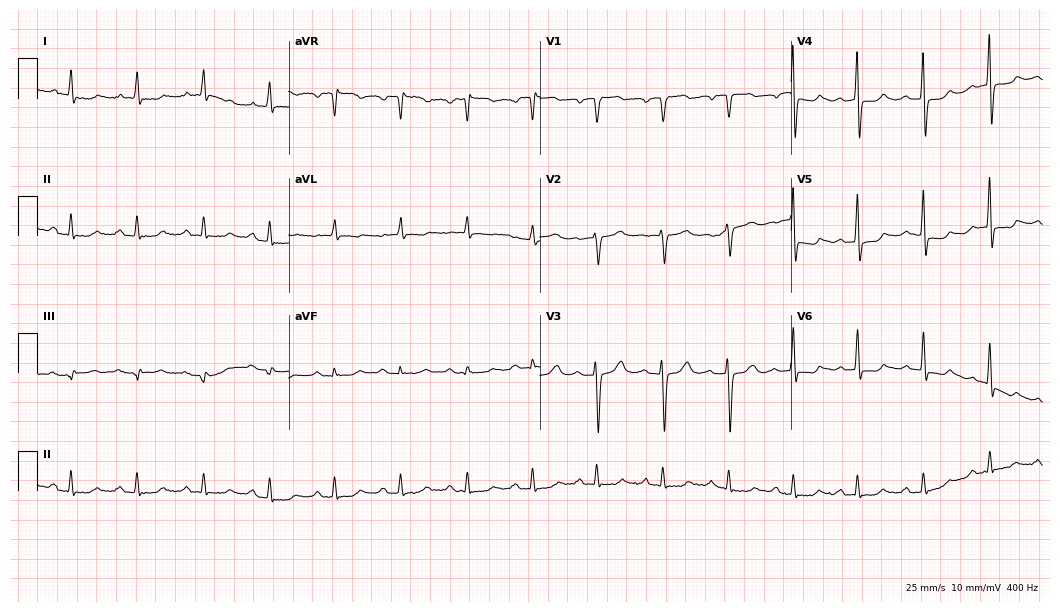
ECG (10.2-second recording at 400 Hz) — a 79-year-old female patient. Findings include first-degree AV block.